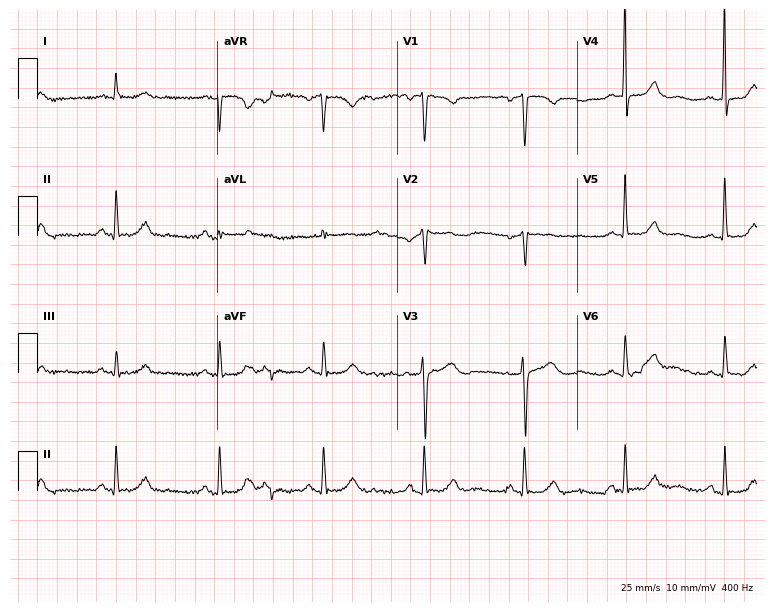
ECG — a woman, 66 years old. Screened for six findings — first-degree AV block, right bundle branch block, left bundle branch block, sinus bradycardia, atrial fibrillation, sinus tachycardia — none is recorded. Only these six findings were labelled.